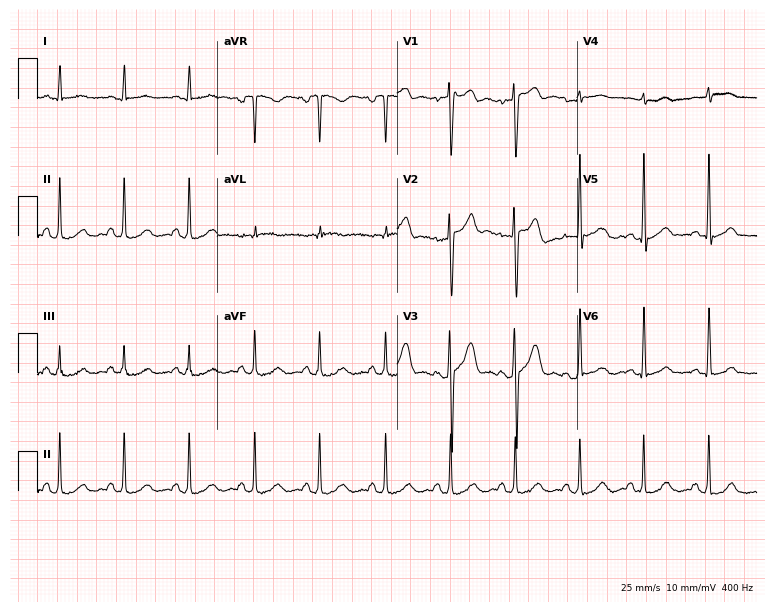
Electrocardiogram, a man, 38 years old. Of the six screened findings (first-degree AV block, right bundle branch block, left bundle branch block, sinus bradycardia, atrial fibrillation, sinus tachycardia), none is recorded. Findings outside these six are not listed.